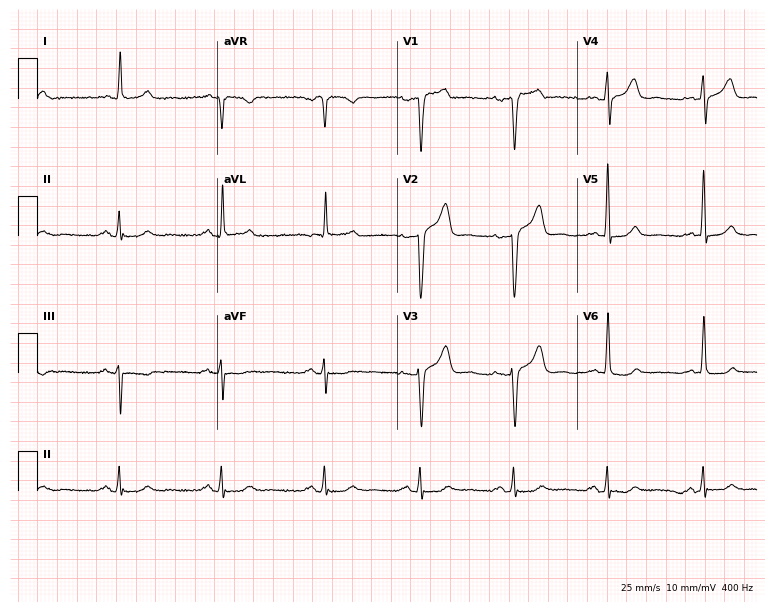
Resting 12-lead electrocardiogram. Patient: a man, 87 years old. None of these six findings is recorded: first-degree AV block, right bundle branch block, left bundle branch block, sinus bradycardia, atrial fibrillation, sinus tachycardia. Other findings, if any, are not listed.